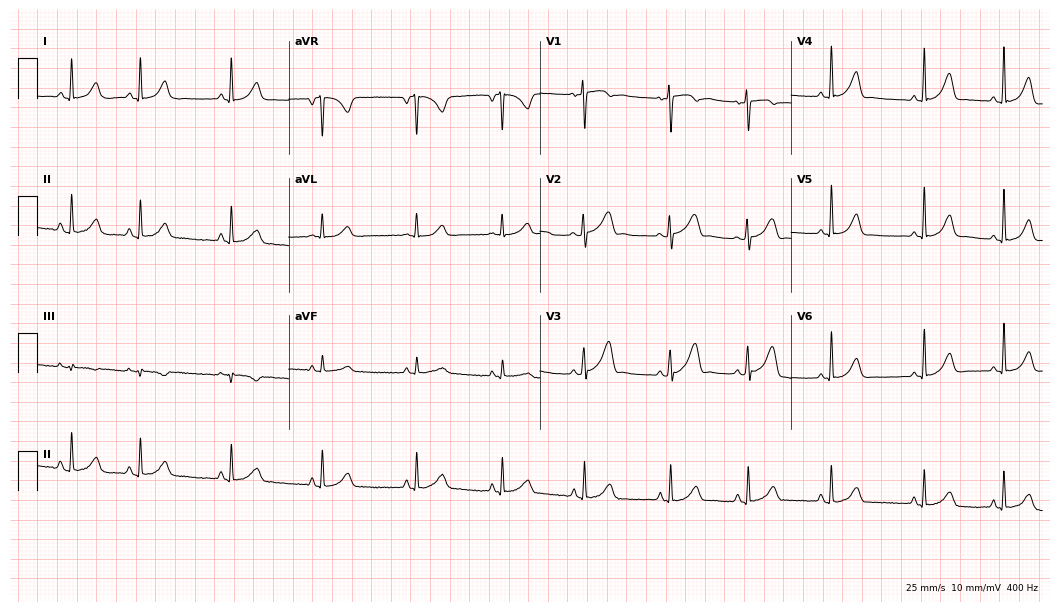
ECG — a 26-year-old female patient. Screened for six findings — first-degree AV block, right bundle branch block (RBBB), left bundle branch block (LBBB), sinus bradycardia, atrial fibrillation (AF), sinus tachycardia — none is recorded. Other findings, if any, are not listed.